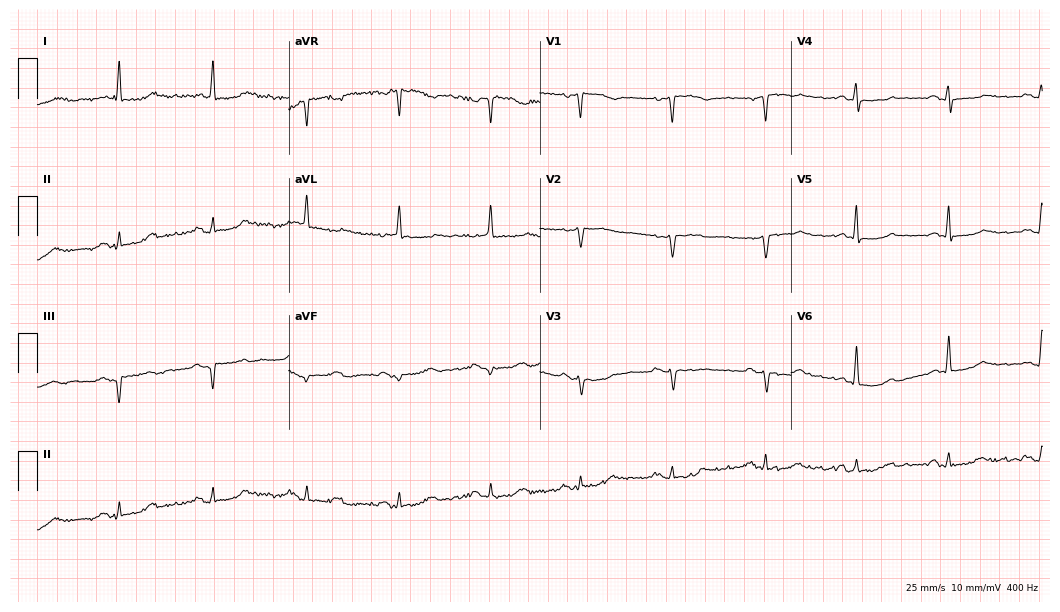
12-lead ECG from an 82-year-old woman. No first-degree AV block, right bundle branch block, left bundle branch block, sinus bradycardia, atrial fibrillation or sinus tachycardia recorded for this tracing.